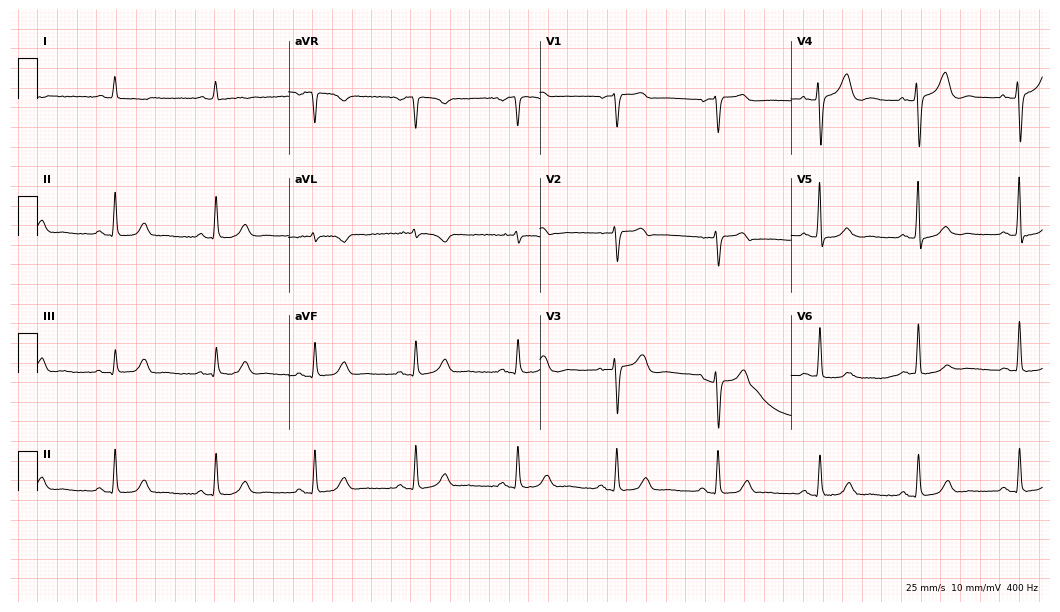
12-lead ECG from a 61-year-old woman (10.2-second recording at 400 Hz). Shows sinus bradycardia (a sinus rate of 50 beats per minute or less).